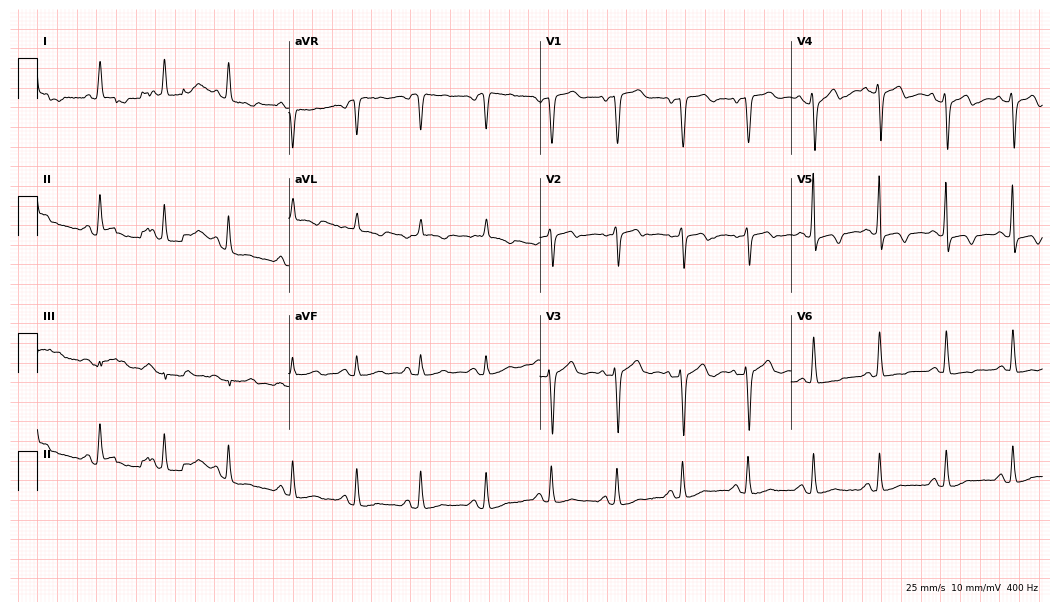
Electrocardiogram, a 79-year-old female. Of the six screened findings (first-degree AV block, right bundle branch block, left bundle branch block, sinus bradycardia, atrial fibrillation, sinus tachycardia), none is recorded. Other findings, if any, are not listed.